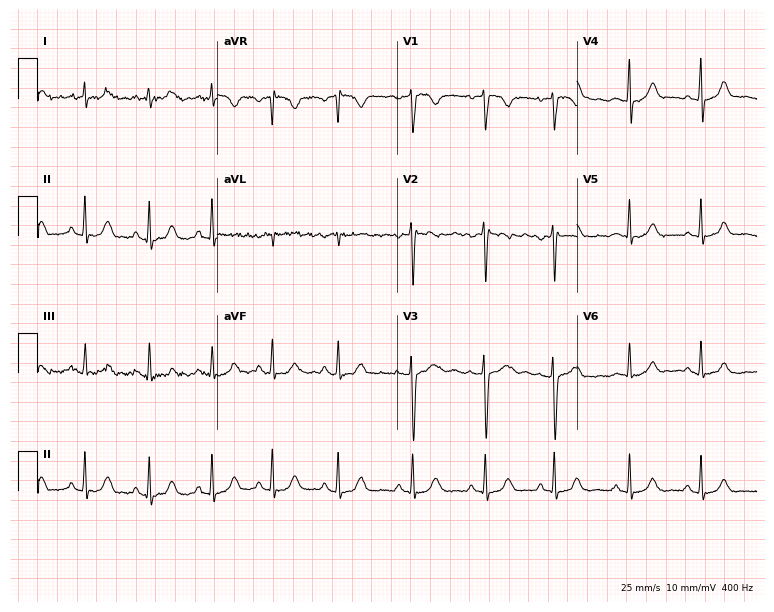
Standard 12-lead ECG recorded from a woman, 27 years old (7.3-second recording at 400 Hz). Read as a normal ECG.